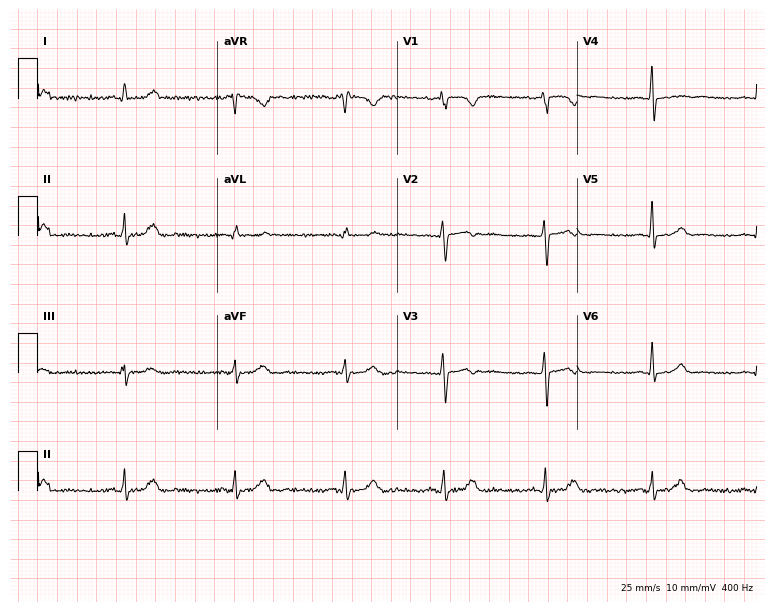
Electrocardiogram (7.3-second recording at 400 Hz), a 42-year-old female patient. Overall reading on record: normal ECG.